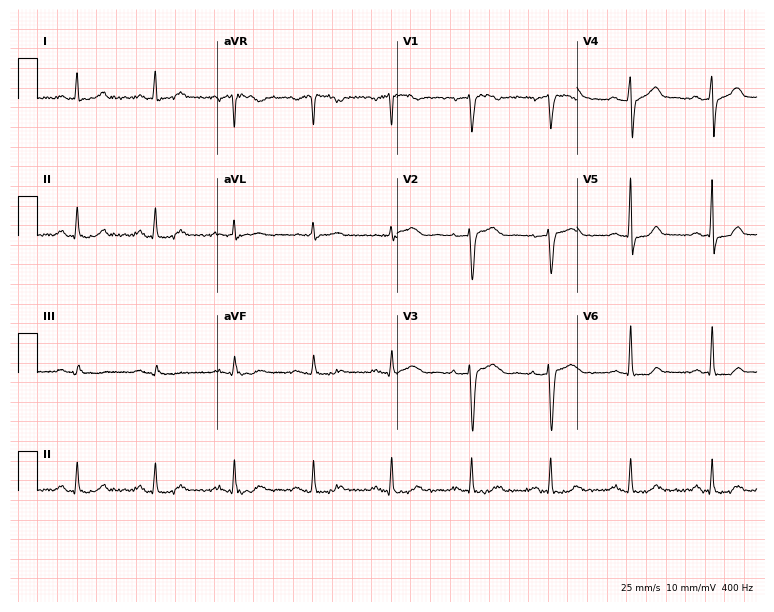
ECG — a 57-year-old female patient. Labelled as a normal ECG.